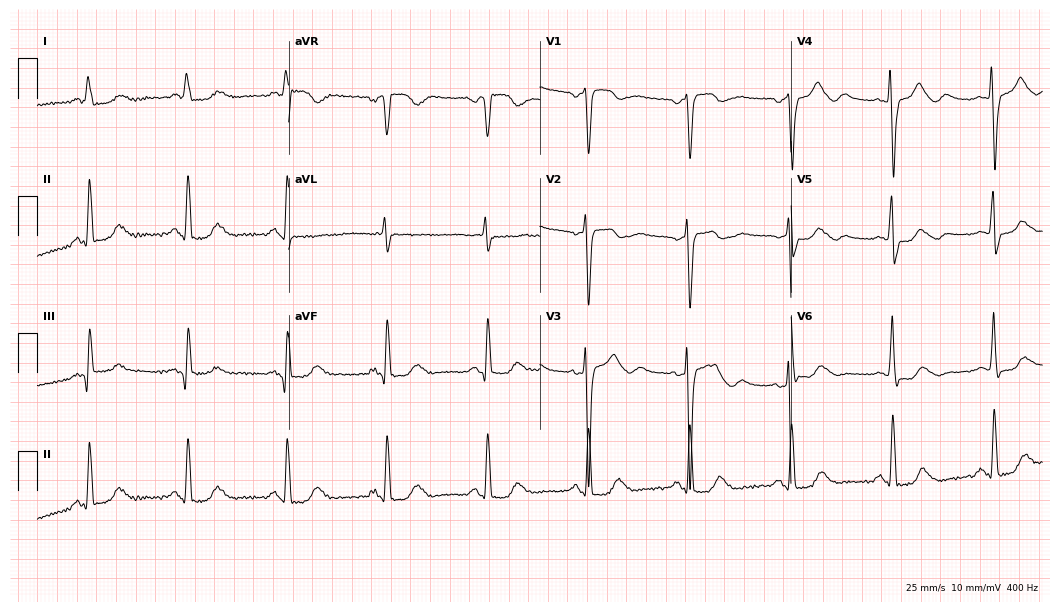
12-lead ECG (10.2-second recording at 400 Hz) from a 77-year-old woman. Screened for six findings — first-degree AV block, right bundle branch block, left bundle branch block, sinus bradycardia, atrial fibrillation, sinus tachycardia — none is recorded. Other findings, if any, are not listed.